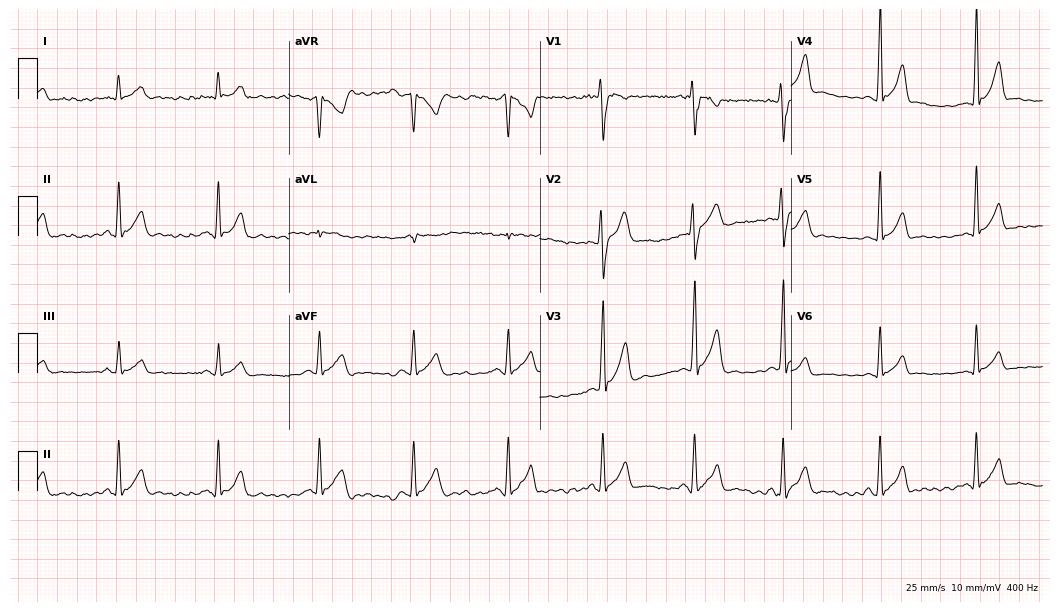
Resting 12-lead electrocardiogram (10.2-second recording at 400 Hz). Patient: a male, 22 years old. None of these six findings is recorded: first-degree AV block, right bundle branch block, left bundle branch block, sinus bradycardia, atrial fibrillation, sinus tachycardia.